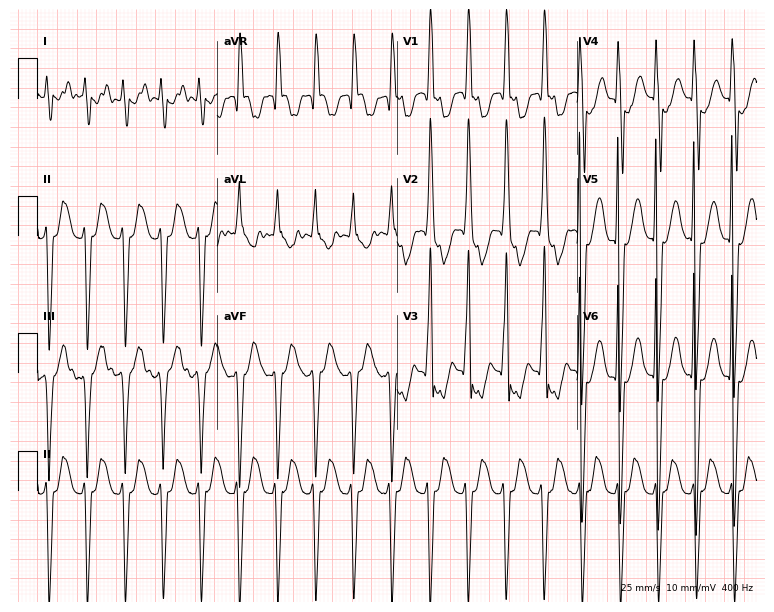
12-lead ECG from an 18-year-old female patient (7.3-second recording at 400 Hz). Shows sinus tachycardia (a sinus rate of 100 beats per minute or more).